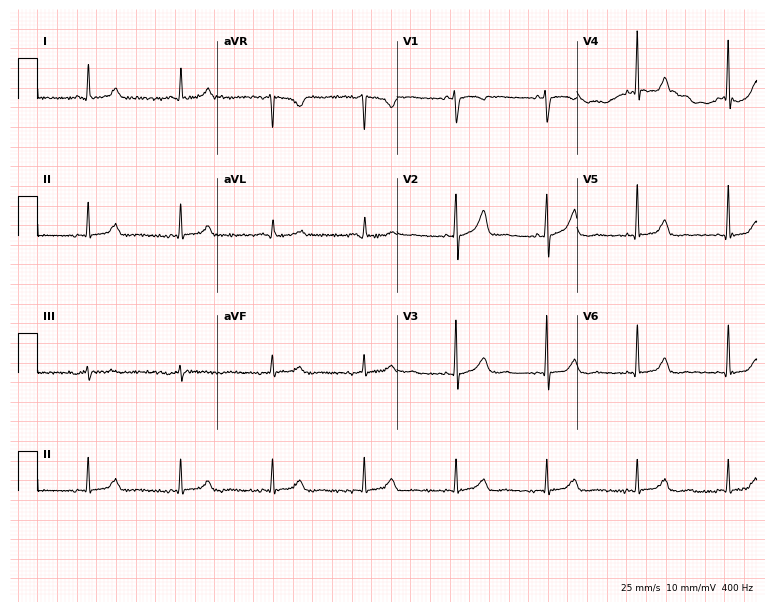
ECG (7.3-second recording at 400 Hz) — a 48-year-old female. Screened for six findings — first-degree AV block, right bundle branch block, left bundle branch block, sinus bradycardia, atrial fibrillation, sinus tachycardia — none is recorded.